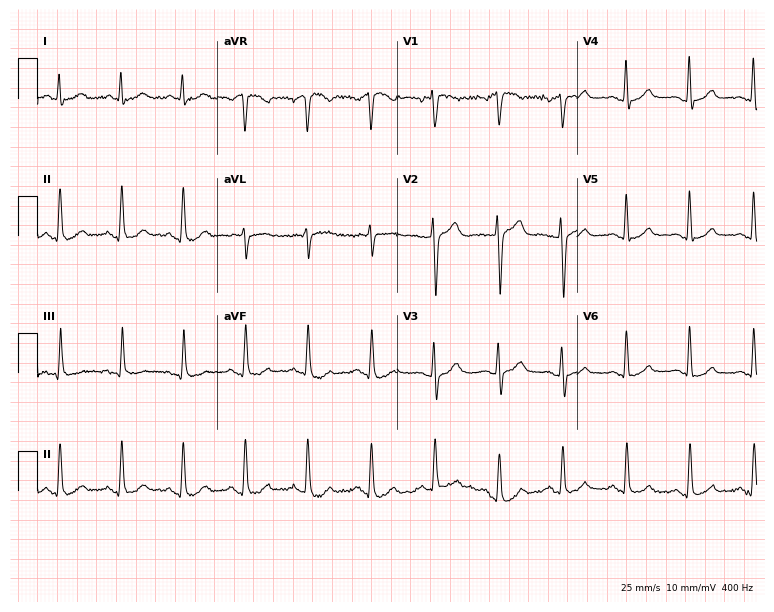
12-lead ECG from a 54-year-old male patient. No first-degree AV block, right bundle branch block, left bundle branch block, sinus bradycardia, atrial fibrillation or sinus tachycardia recorded for this tracing. Other findings, if any, are not listed.